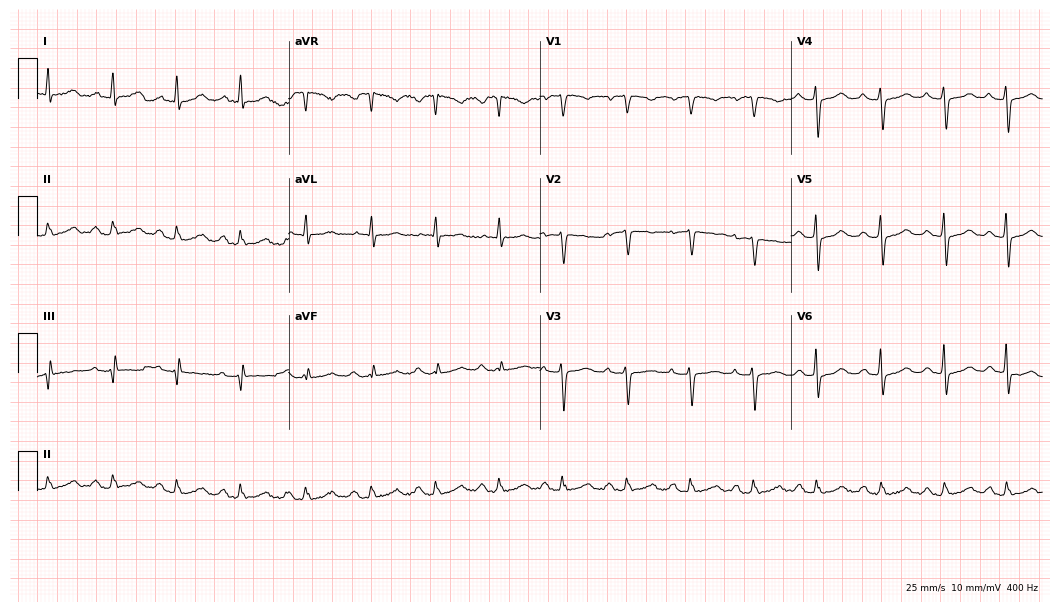
12-lead ECG from a woman, 61 years old. Labelled as a normal ECG.